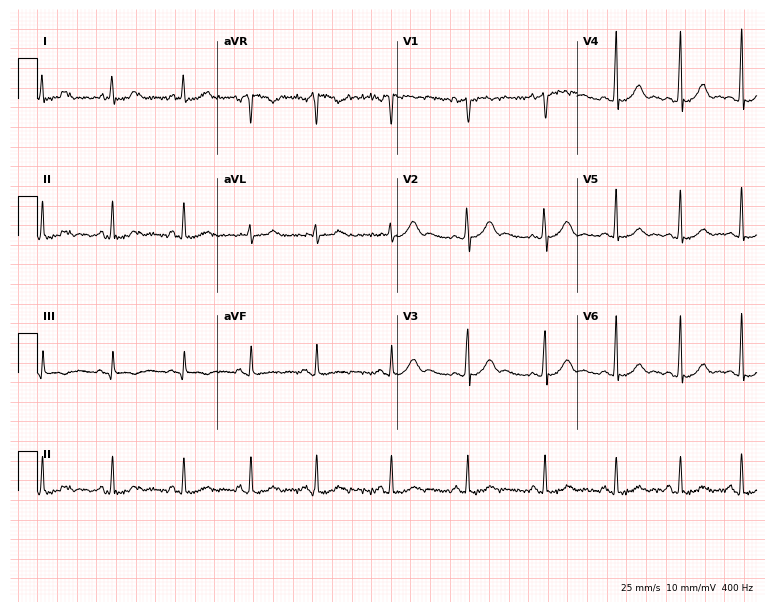
12-lead ECG from a 22-year-old female. Labelled as a normal ECG.